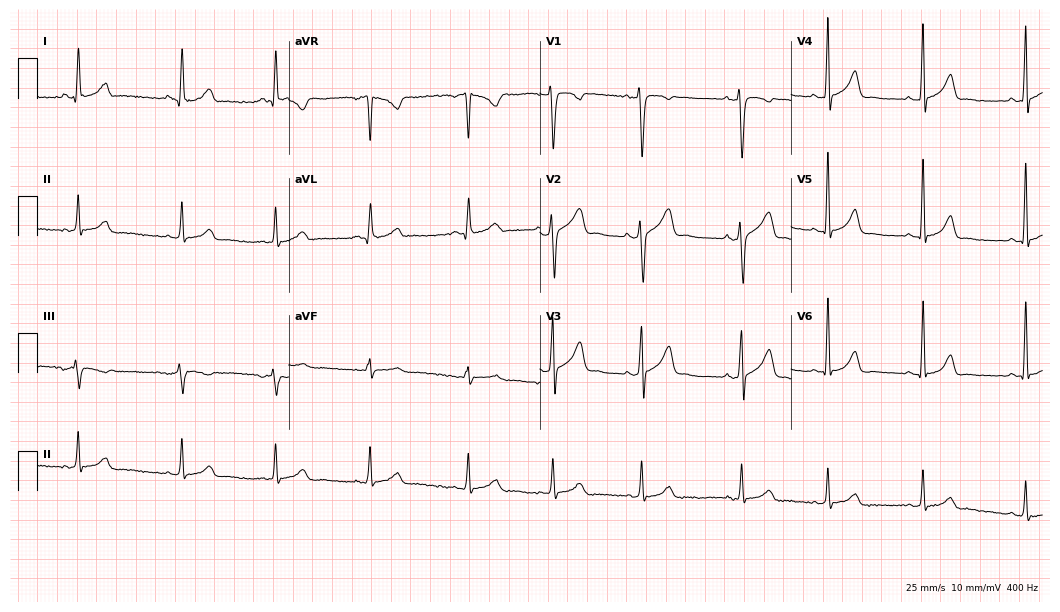
Standard 12-lead ECG recorded from a 25-year-old female. Read as a normal ECG.